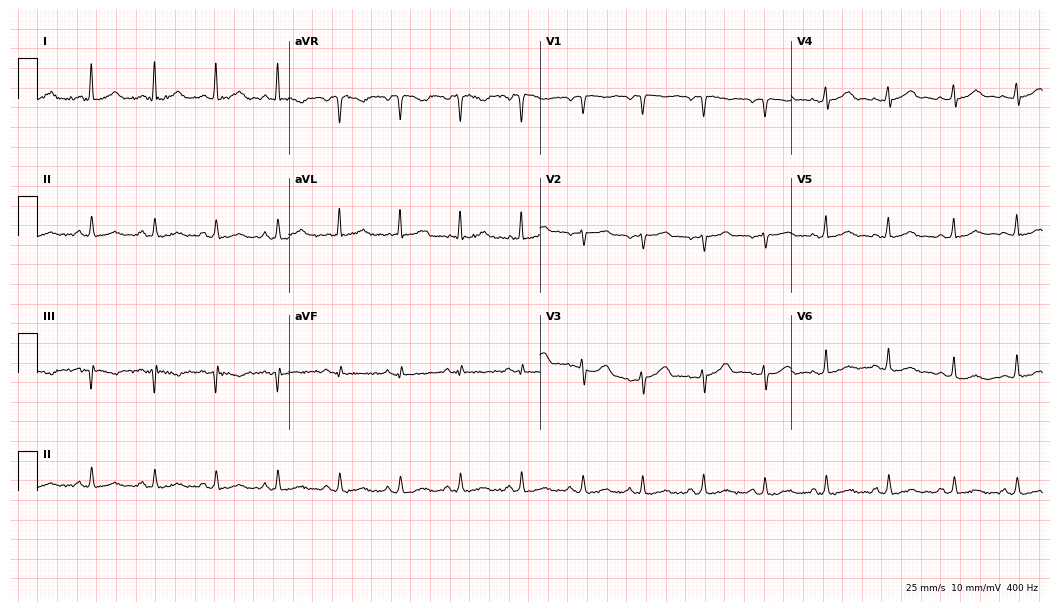
12-lead ECG from a female, 50 years old. Recorded interpretation: within normal limits.